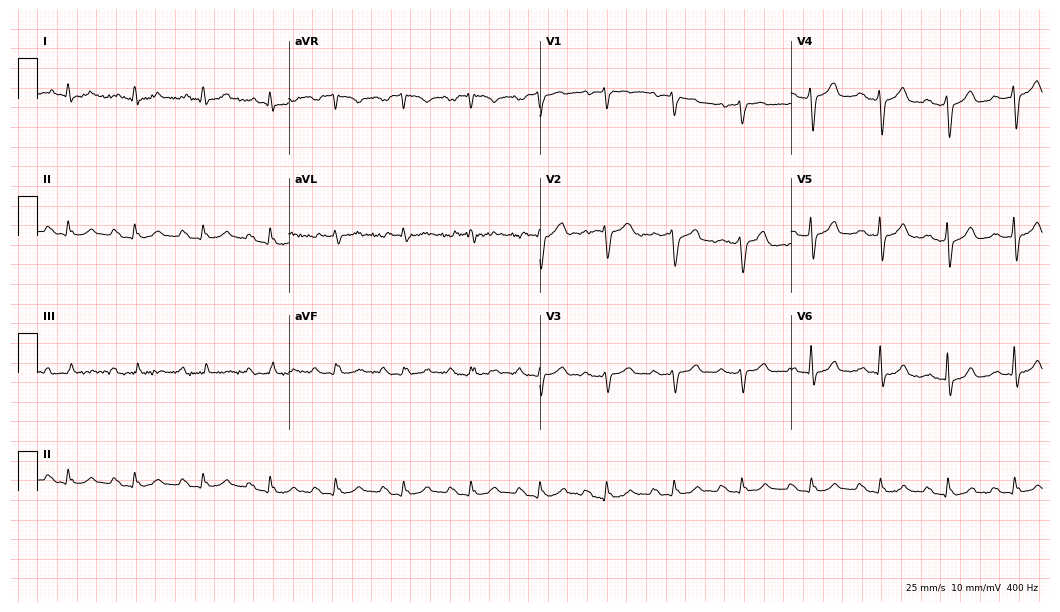
Standard 12-lead ECG recorded from a 67-year-old male (10.2-second recording at 400 Hz). None of these six findings is recorded: first-degree AV block, right bundle branch block, left bundle branch block, sinus bradycardia, atrial fibrillation, sinus tachycardia.